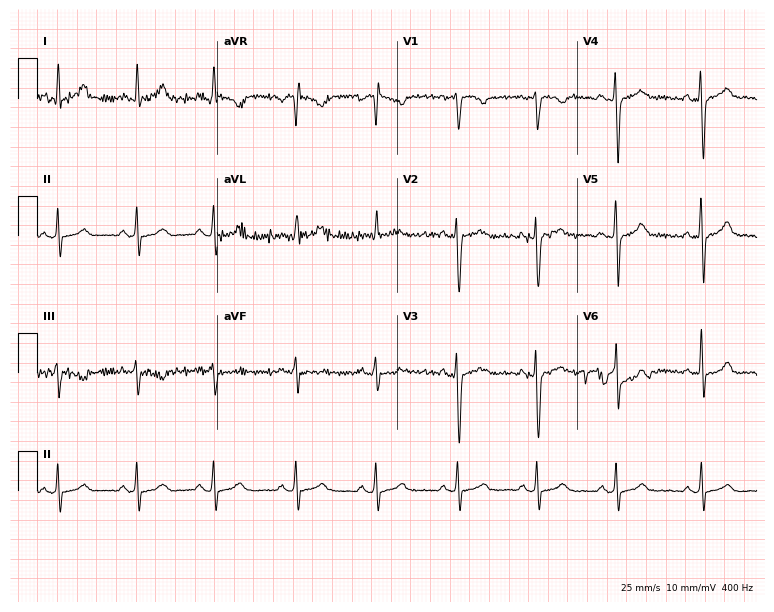
ECG (7.3-second recording at 400 Hz) — a female patient, 20 years old. Labelled as a normal ECG.